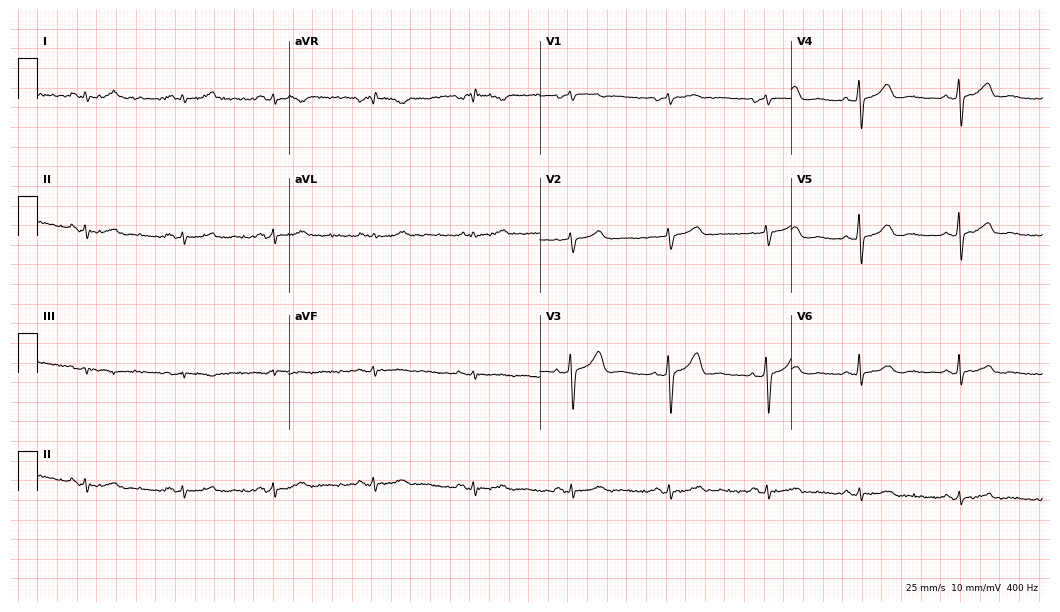
Standard 12-lead ECG recorded from a woman, 51 years old. None of these six findings is recorded: first-degree AV block, right bundle branch block (RBBB), left bundle branch block (LBBB), sinus bradycardia, atrial fibrillation (AF), sinus tachycardia.